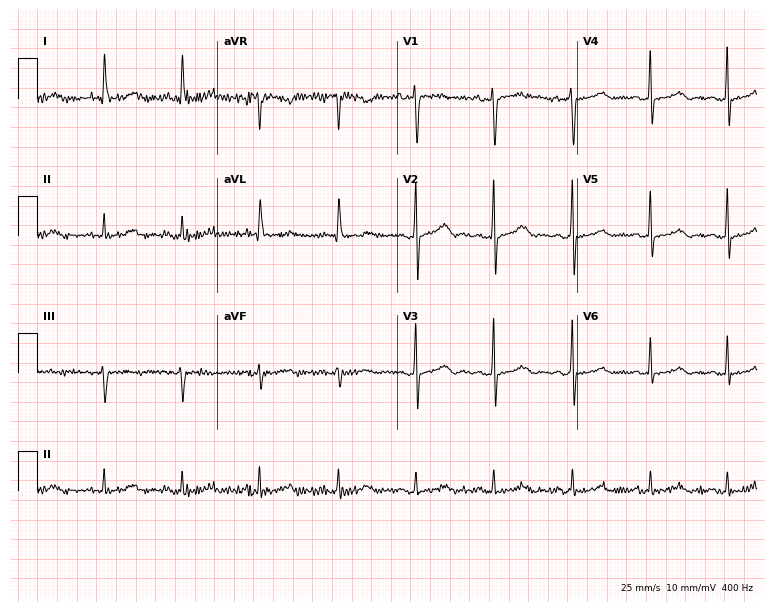
Resting 12-lead electrocardiogram (7.3-second recording at 400 Hz). Patient: a 67-year-old female. Read as a normal ECG.